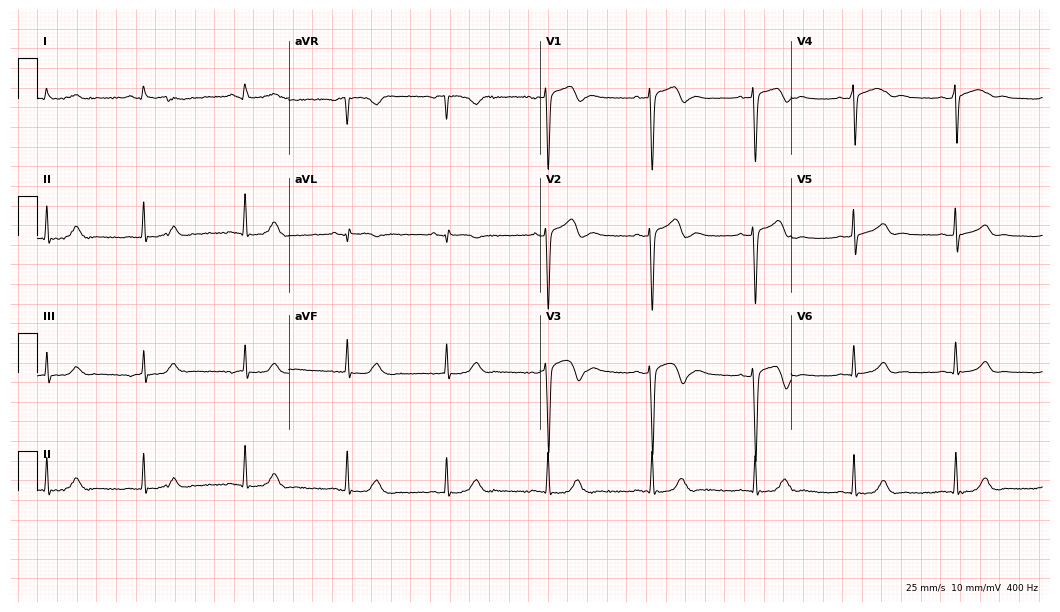
ECG — a 24-year-old man. Screened for six findings — first-degree AV block, right bundle branch block (RBBB), left bundle branch block (LBBB), sinus bradycardia, atrial fibrillation (AF), sinus tachycardia — none is recorded.